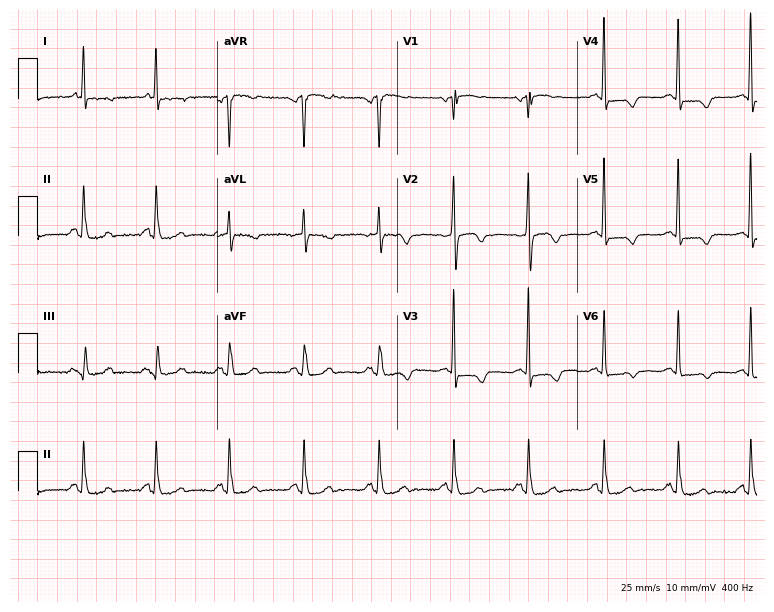
ECG — a woman, 84 years old. Screened for six findings — first-degree AV block, right bundle branch block, left bundle branch block, sinus bradycardia, atrial fibrillation, sinus tachycardia — none is recorded. Findings outside these six are not listed.